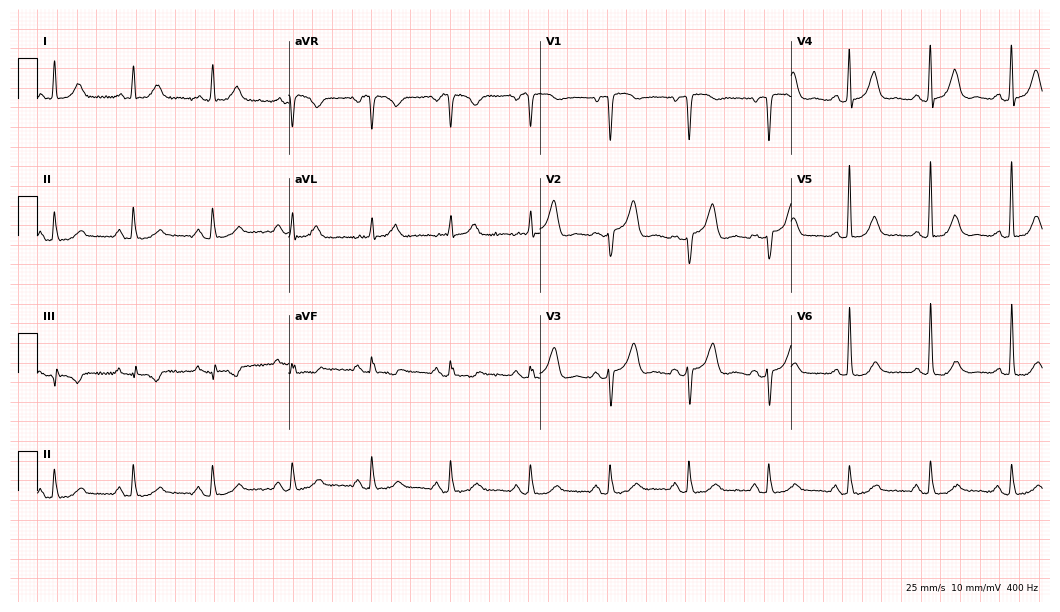
12-lead ECG from a 70-year-old female patient (10.2-second recording at 400 Hz). Recorded interpretation: within normal limits.